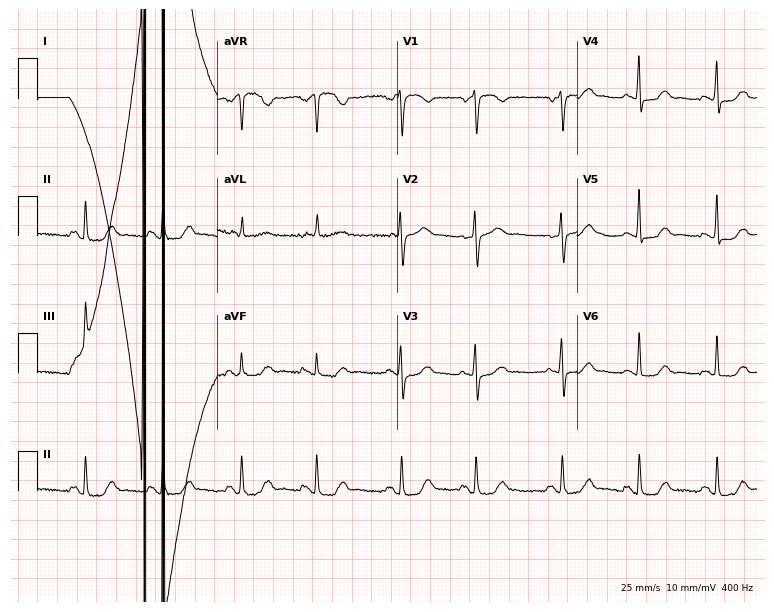
Resting 12-lead electrocardiogram (7.3-second recording at 400 Hz). Patient: a 73-year-old woman. Read as a normal ECG.